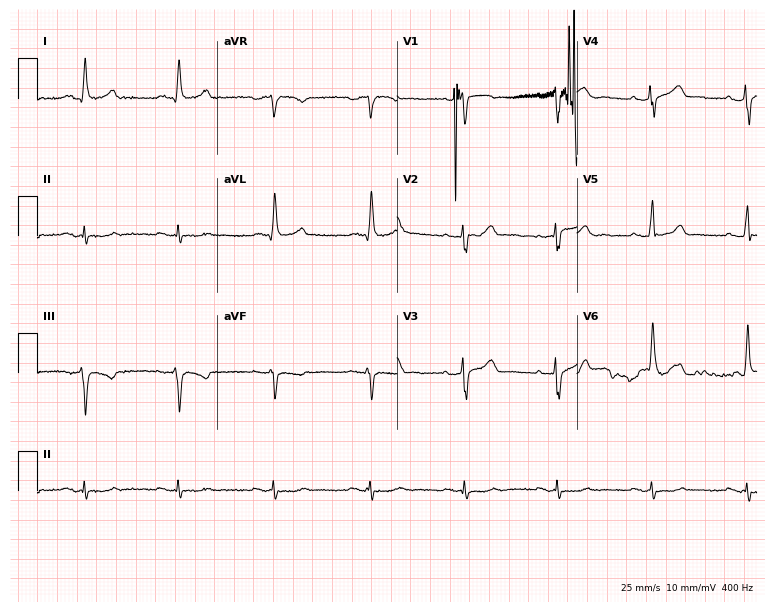
ECG — a 64-year-old male patient. Screened for six findings — first-degree AV block, right bundle branch block (RBBB), left bundle branch block (LBBB), sinus bradycardia, atrial fibrillation (AF), sinus tachycardia — none is recorded.